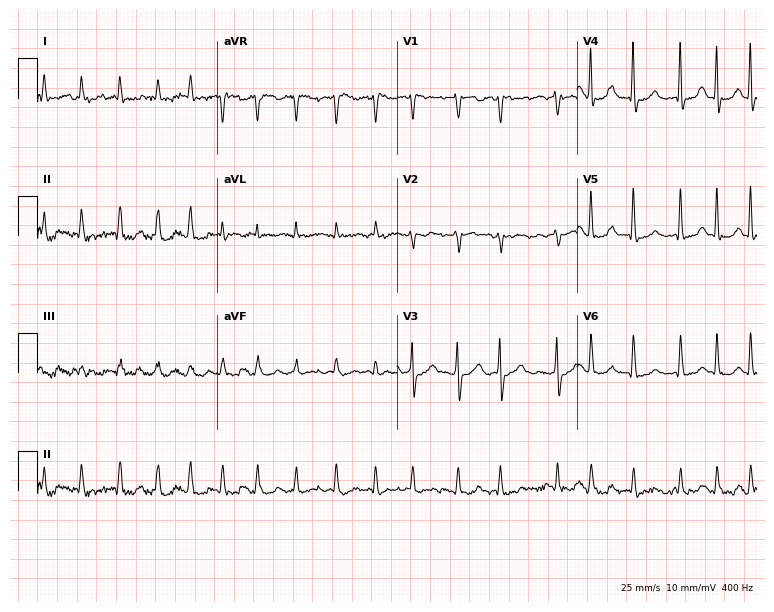
Resting 12-lead electrocardiogram. Patient: a woman, 68 years old. The tracing shows atrial fibrillation.